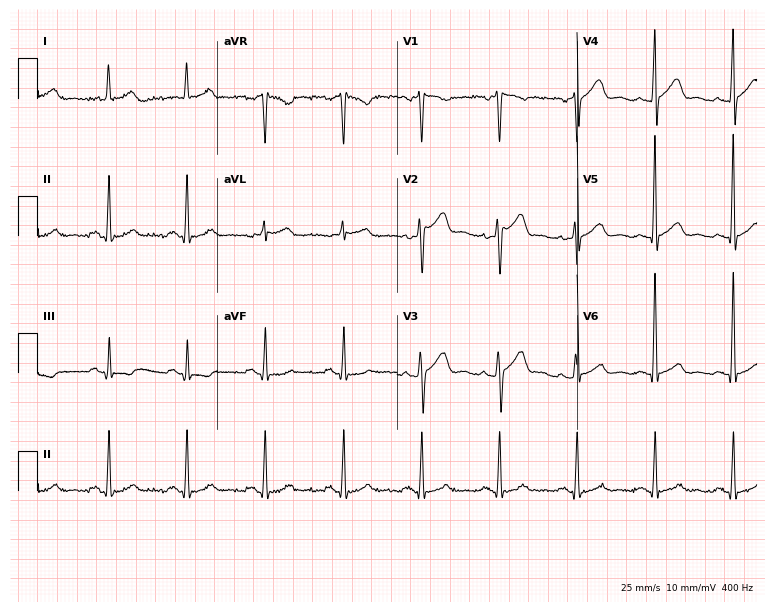
Electrocardiogram (7.3-second recording at 400 Hz), a 55-year-old male patient. Of the six screened findings (first-degree AV block, right bundle branch block (RBBB), left bundle branch block (LBBB), sinus bradycardia, atrial fibrillation (AF), sinus tachycardia), none is recorded. Findings outside these six are not listed.